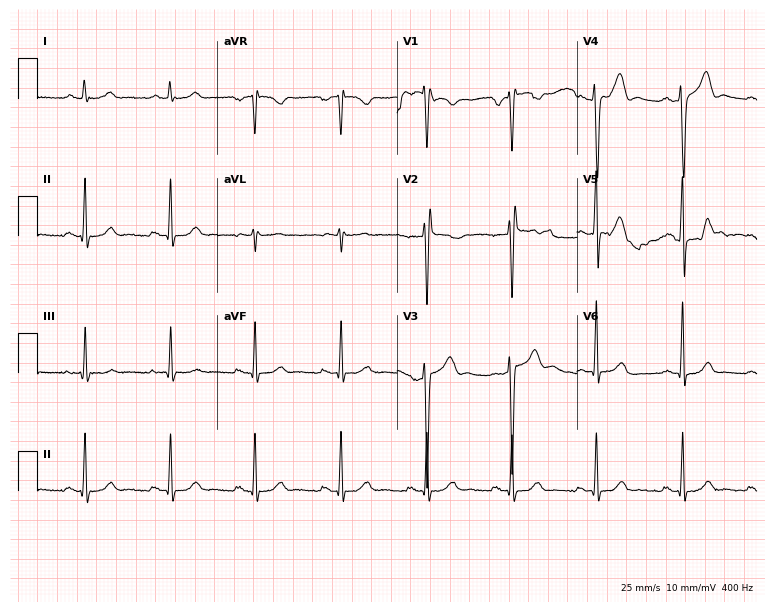
12-lead ECG from a 30-year-old male. Screened for six findings — first-degree AV block, right bundle branch block, left bundle branch block, sinus bradycardia, atrial fibrillation, sinus tachycardia — none is recorded. Other findings, if any, are not listed.